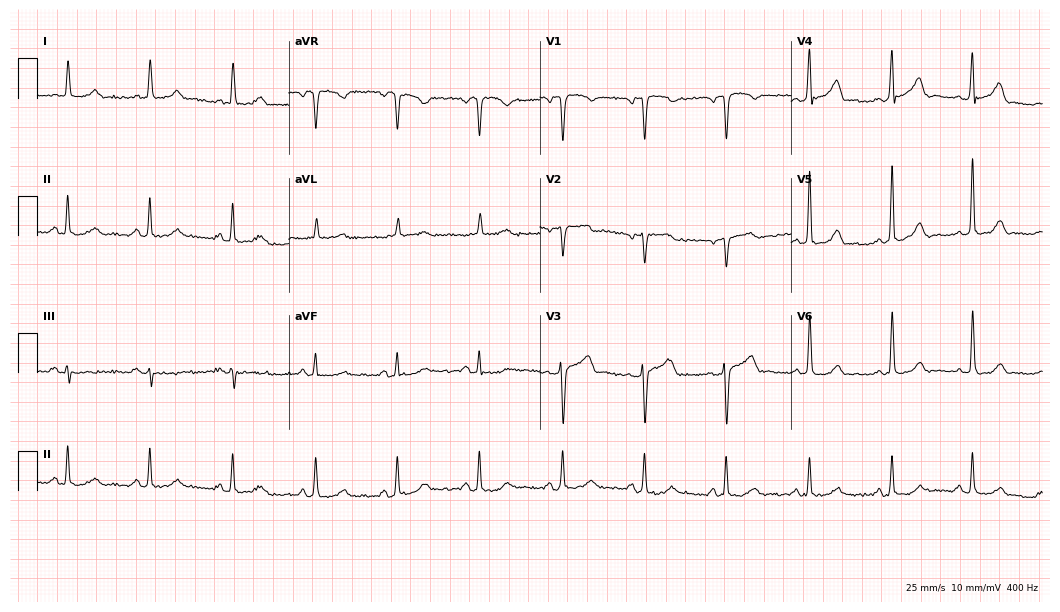
12-lead ECG (10.2-second recording at 400 Hz) from a man, 59 years old. Screened for six findings — first-degree AV block, right bundle branch block, left bundle branch block, sinus bradycardia, atrial fibrillation, sinus tachycardia — none is recorded.